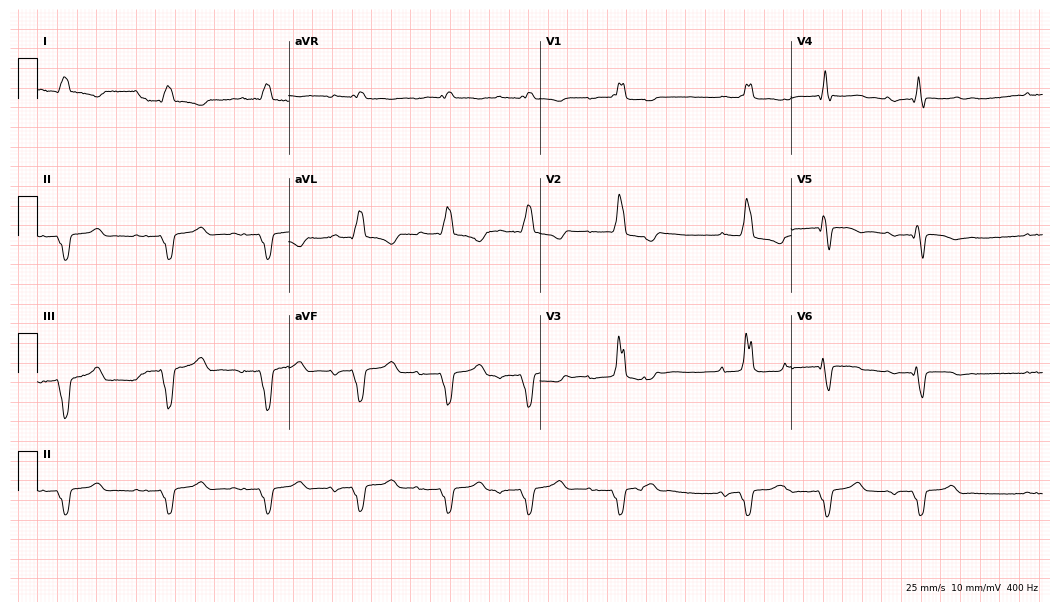
12-lead ECG (10.2-second recording at 400 Hz) from a male patient, 82 years old. Findings include first-degree AV block, right bundle branch block.